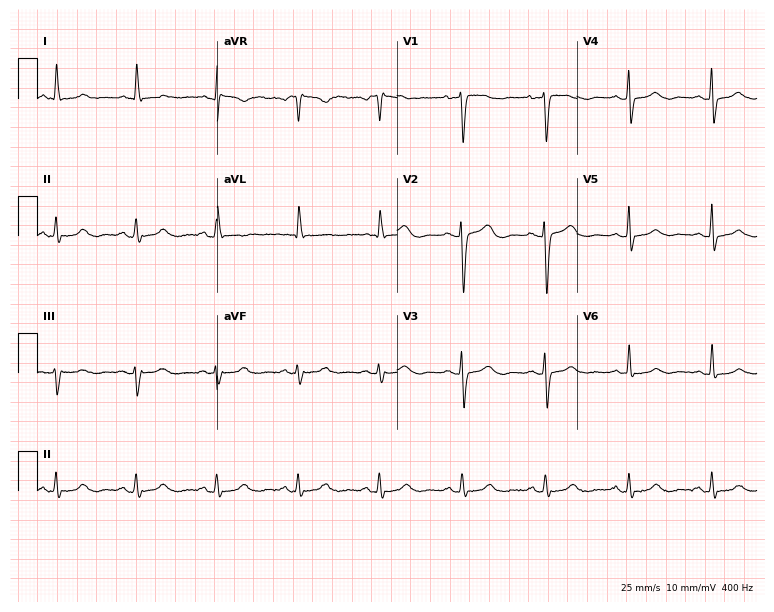
Resting 12-lead electrocardiogram (7.3-second recording at 400 Hz). Patient: a female, 77 years old. Read as a normal ECG.